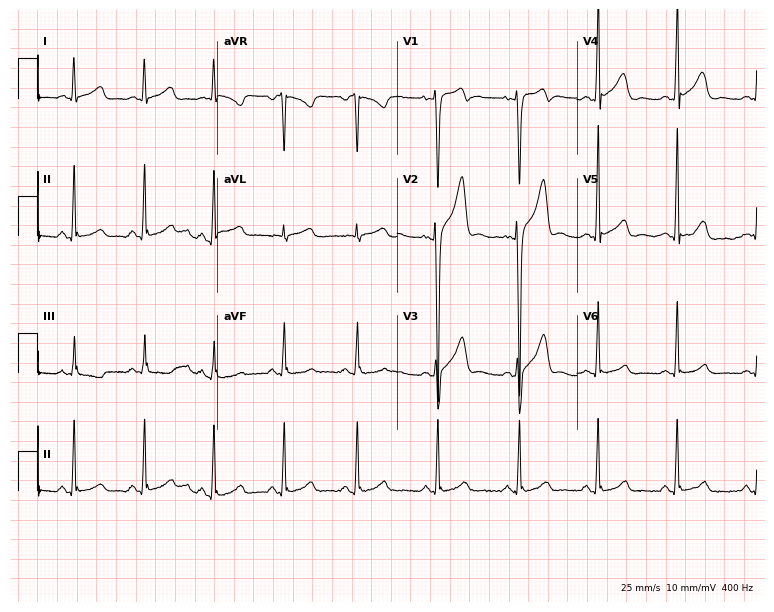
12-lead ECG from a male, 29 years old. No first-degree AV block, right bundle branch block (RBBB), left bundle branch block (LBBB), sinus bradycardia, atrial fibrillation (AF) or sinus tachycardia recorded for this tracing.